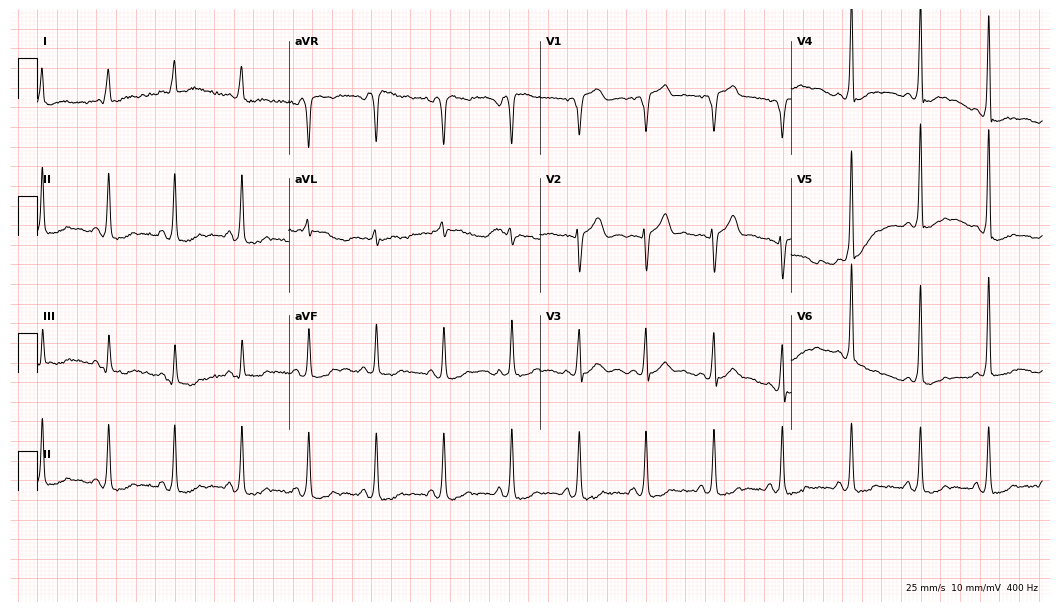
Resting 12-lead electrocardiogram (10.2-second recording at 400 Hz). Patient: a 72-year-old male. None of these six findings is recorded: first-degree AV block, right bundle branch block, left bundle branch block, sinus bradycardia, atrial fibrillation, sinus tachycardia.